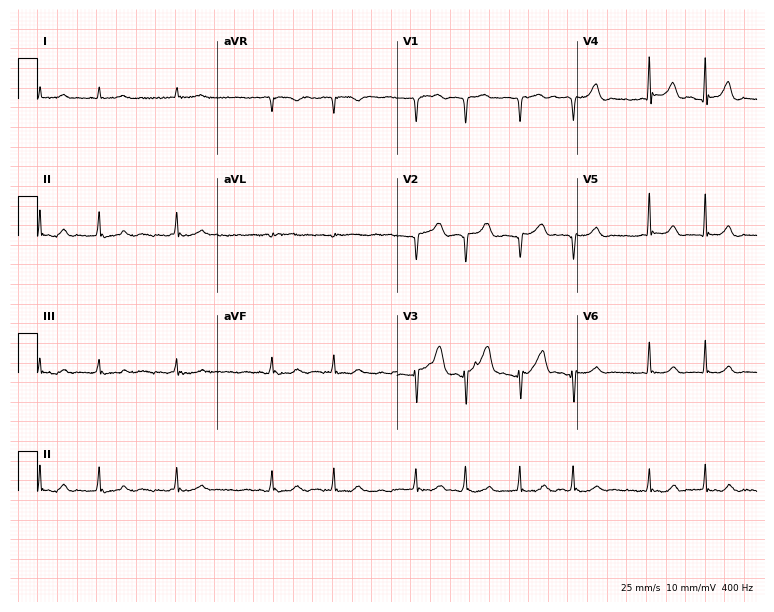
12-lead ECG from a male, 85 years old. Findings include atrial fibrillation.